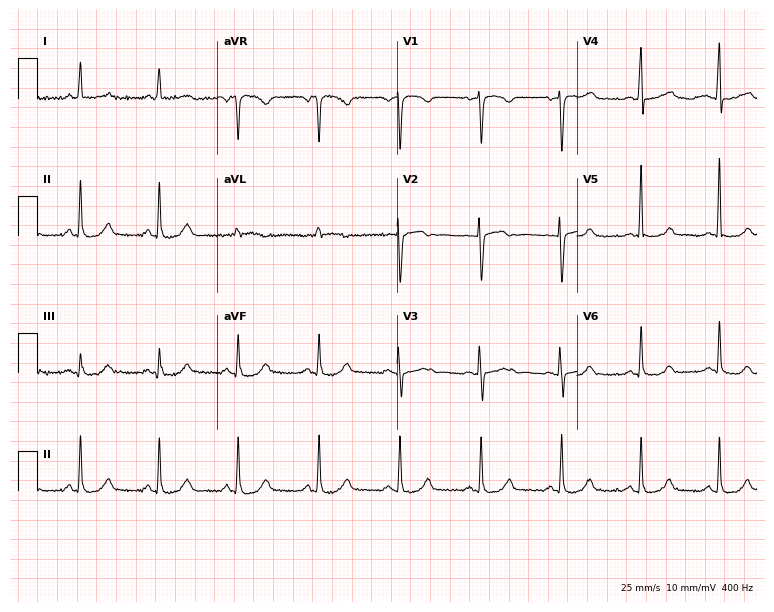
ECG (7.3-second recording at 400 Hz) — a 50-year-old female. Labelled as a normal ECG.